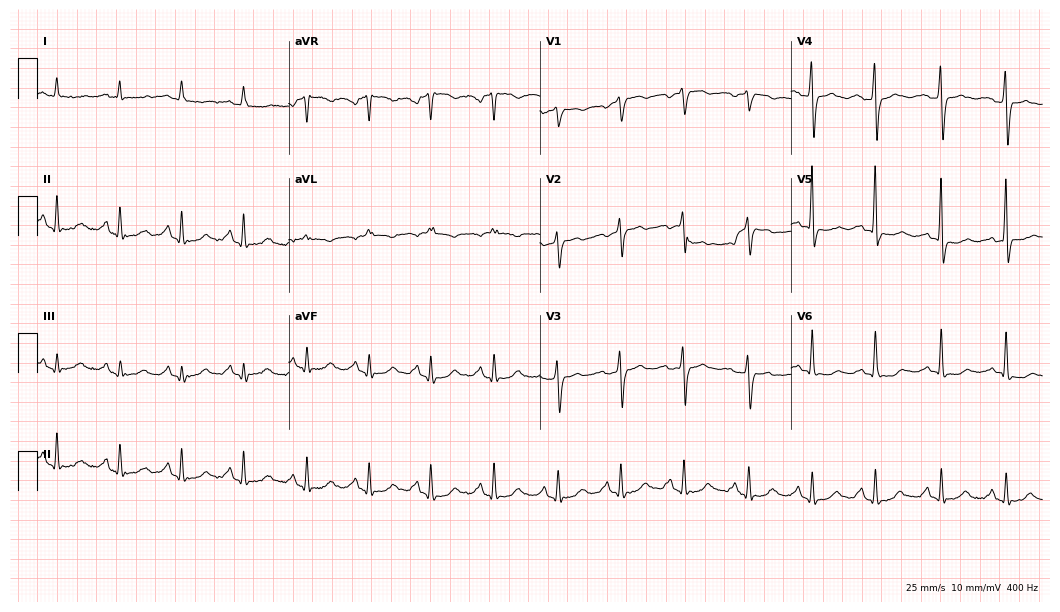
Standard 12-lead ECG recorded from a woman, 56 years old (10.2-second recording at 400 Hz). None of these six findings is recorded: first-degree AV block, right bundle branch block, left bundle branch block, sinus bradycardia, atrial fibrillation, sinus tachycardia.